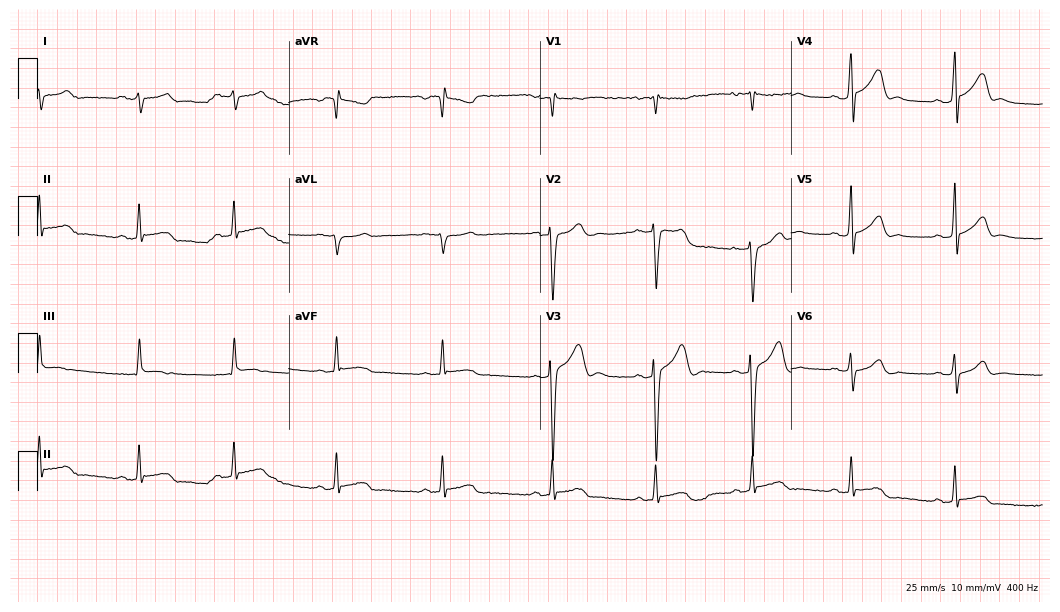
12-lead ECG from a 20-year-old male patient (10.2-second recording at 400 Hz). Recorded interpretation: within normal limits.